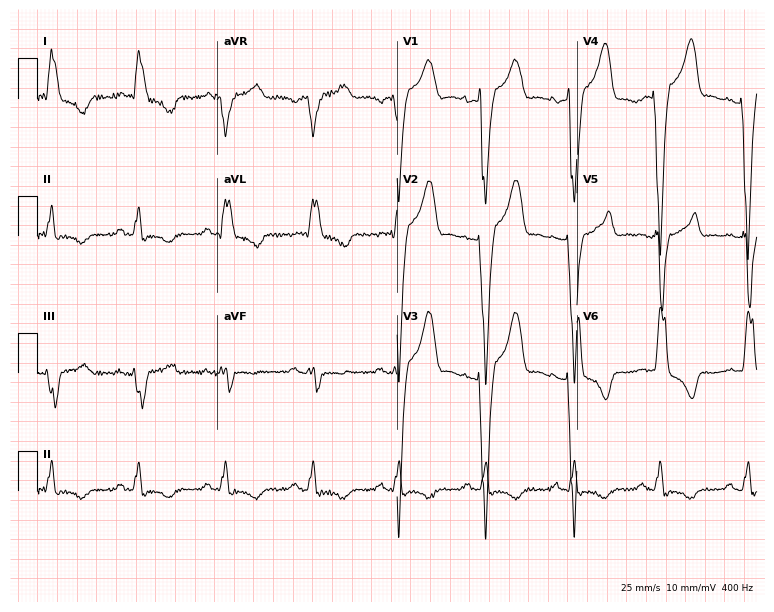
Electrocardiogram (7.3-second recording at 400 Hz), a male, 51 years old. Interpretation includes left bundle branch block (LBBB).